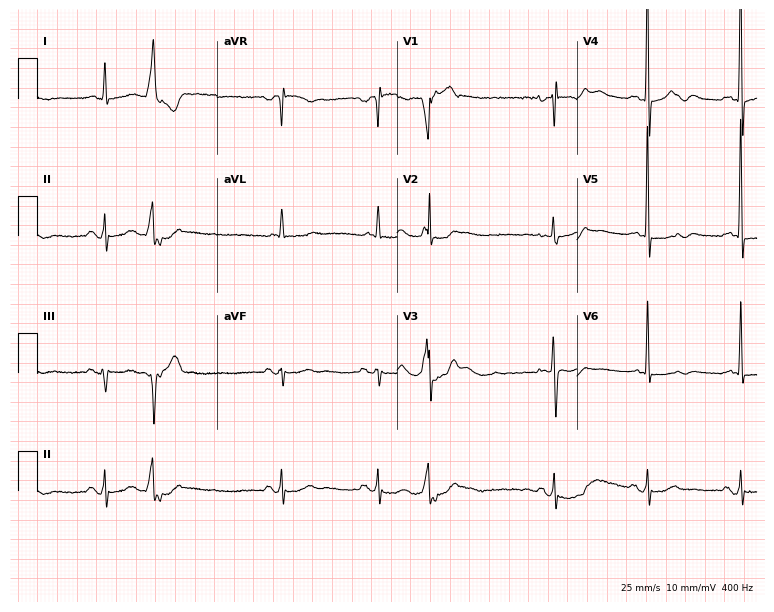
Resting 12-lead electrocardiogram (7.3-second recording at 400 Hz). Patient: a man, 80 years old. None of these six findings is recorded: first-degree AV block, right bundle branch block, left bundle branch block, sinus bradycardia, atrial fibrillation, sinus tachycardia. Other findings, if any, are not listed.